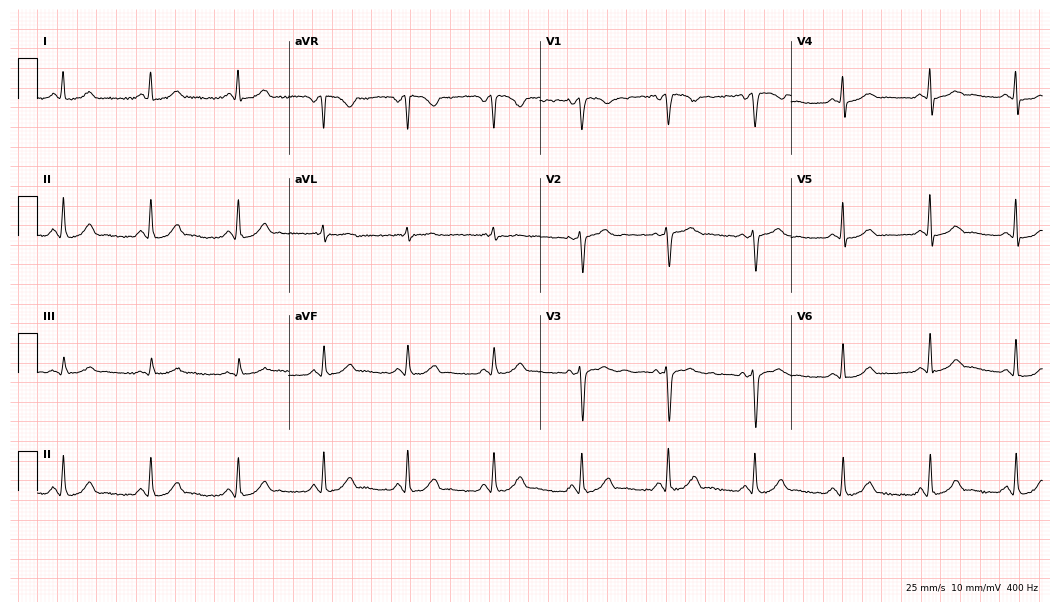
Resting 12-lead electrocardiogram. Patient: a woman, 48 years old. Read as a normal ECG.